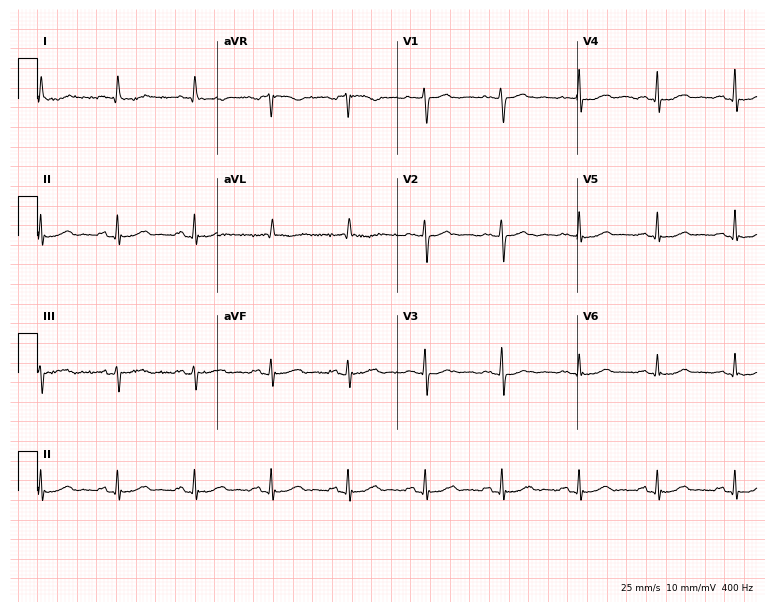
12-lead ECG from a female patient, 72 years old. Screened for six findings — first-degree AV block, right bundle branch block, left bundle branch block, sinus bradycardia, atrial fibrillation, sinus tachycardia — none is recorded.